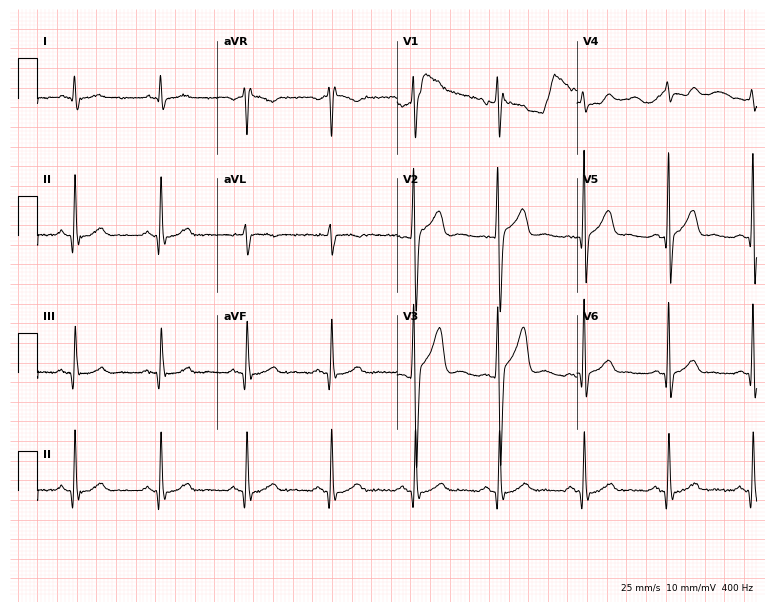
12-lead ECG from a 49-year-old man. Labelled as a normal ECG.